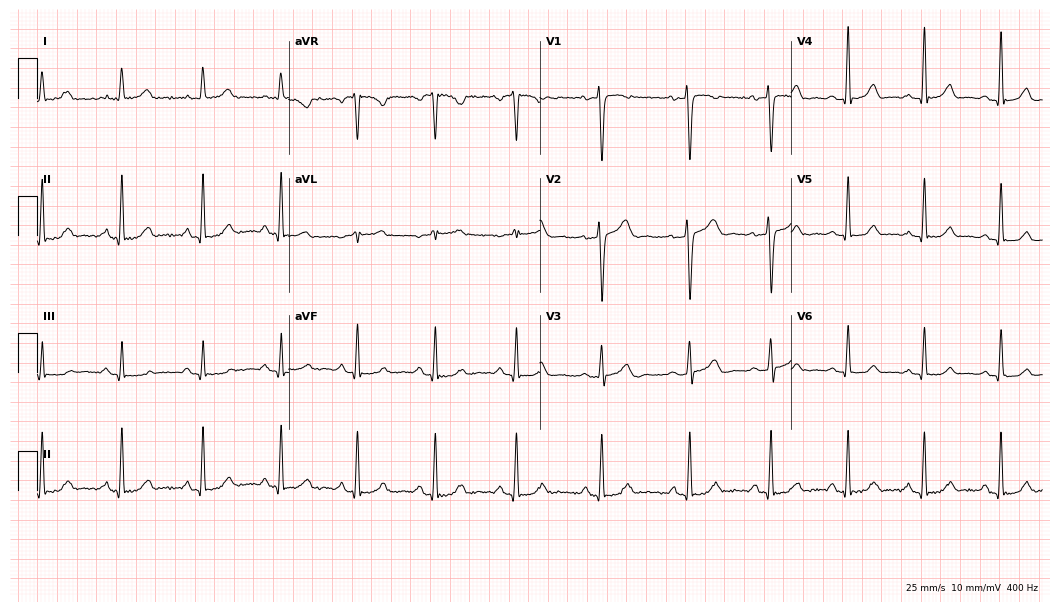
Standard 12-lead ECG recorded from a female patient, 32 years old. Read as a normal ECG.